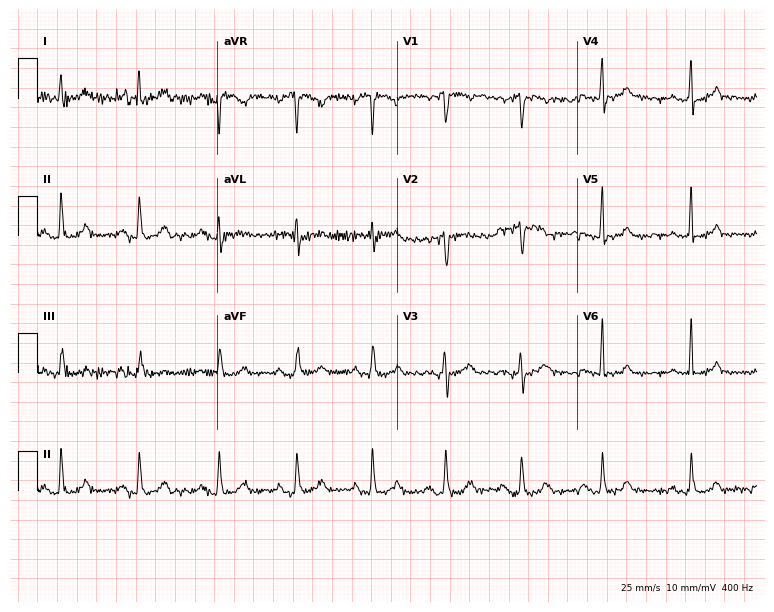
Electrocardiogram (7.3-second recording at 400 Hz), a 45-year-old female. Overall reading on record: normal ECG.